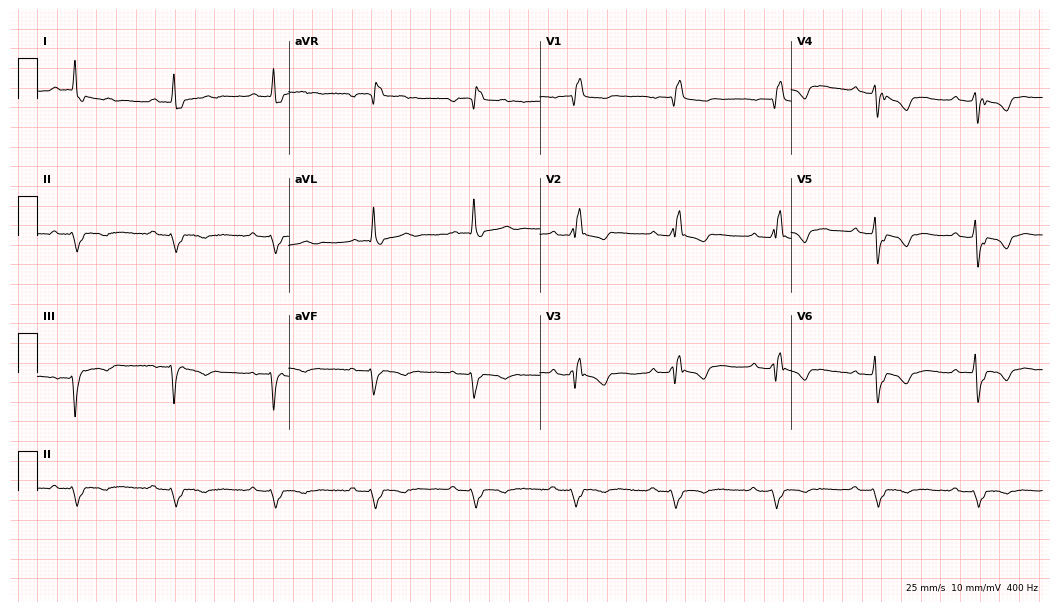
Electrocardiogram (10.2-second recording at 400 Hz), a male patient, 58 years old. Interpretation includes first-degree AV block, right bundle branch block.